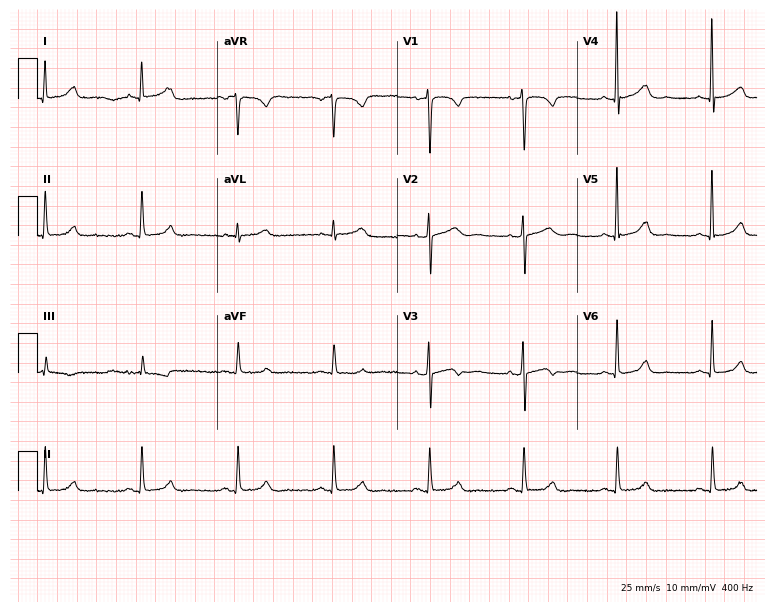
ECG — a woman, 58 years old. Labelled as a normal ECG.